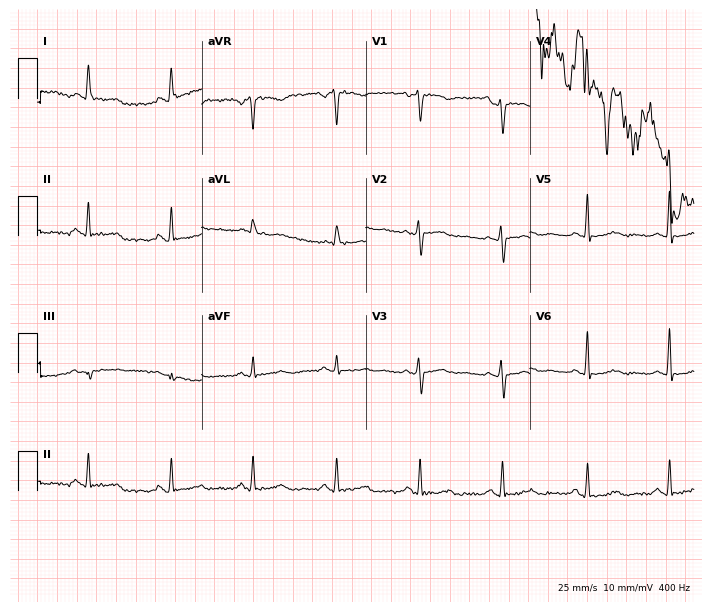
12-lead ECG from a 53-year-old female (6.7-second recording at 400 Hz). No first-degree AV block, right bundle branch block, left bundle branch block, sinus bradycardia, atrial fibrillation or sinus tachycardia recorded for this tracing.